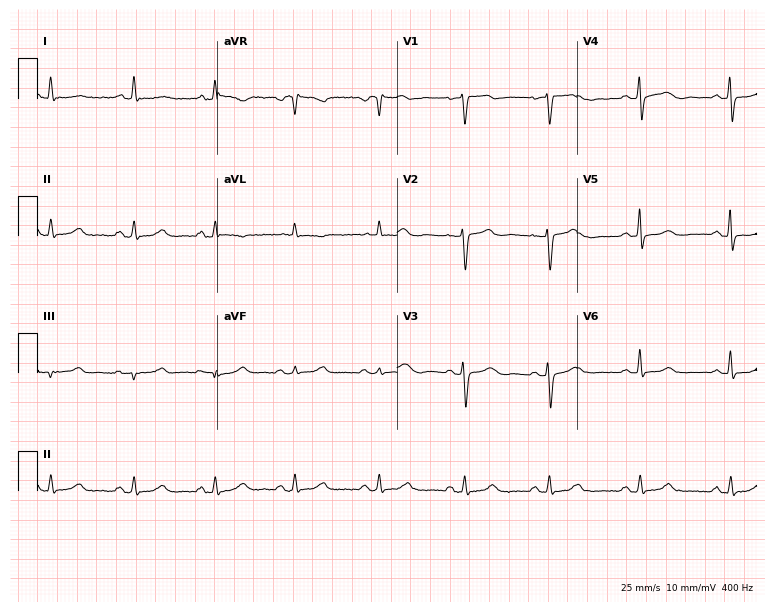
12-lead ECG from a 61-year-old female patient. No first-degree AV block, right bundle branch block, left bundle branch block, sinus bradycardia, atrial fibrillation or sinus tachycardia recorded for this tracing.